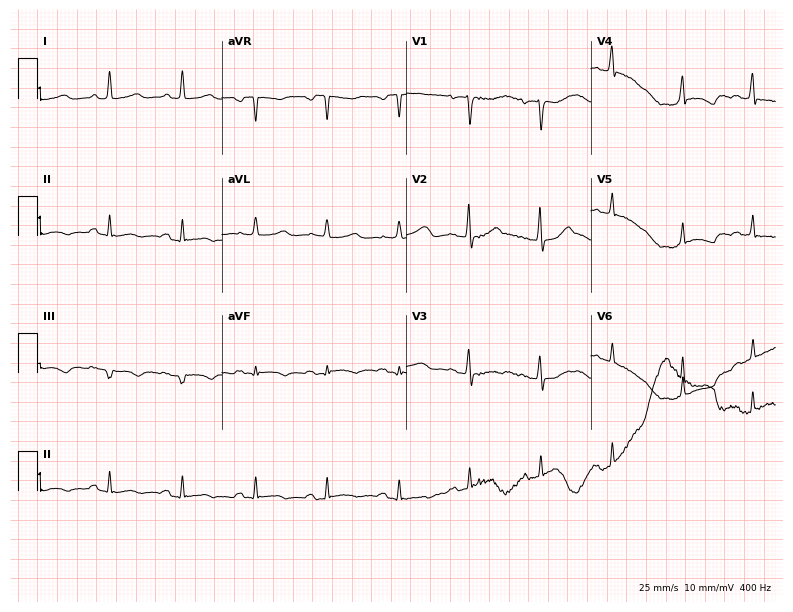
Resting 12-lead electrocardiogram (7.5-second recording at 400 Hz). Patient: a 72-year-old female. None of these six findings is recorded: first-degree AV block, right bundle branch block (RBBB), left bundle branch block (LBBB), sinus bradycardia, atrial fibrillation (AF), sinus tachycardia. Findings outside these six are not listed.